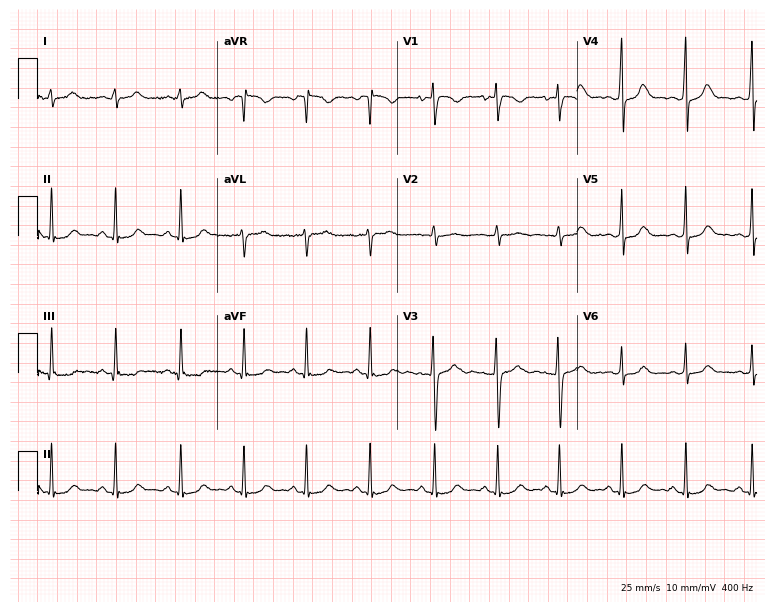
Resting 12-lead electrocardiogram (7.3-second recording at 400 Hz). Patient: a 23-year-old female. Read as a normal ECG.